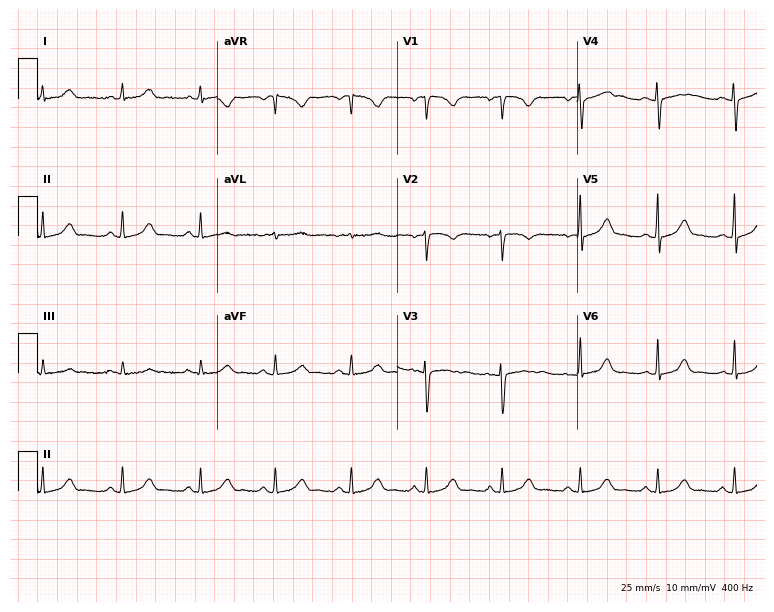
Resting 12-lead electrocardiogram. Patient: a 24-year-old female. None of these six findings is recorded: first-degree AV block, right bundle branch block, left bundle branch block, sinus bradycardia, atrial fibrillation, sinus tachycardia.